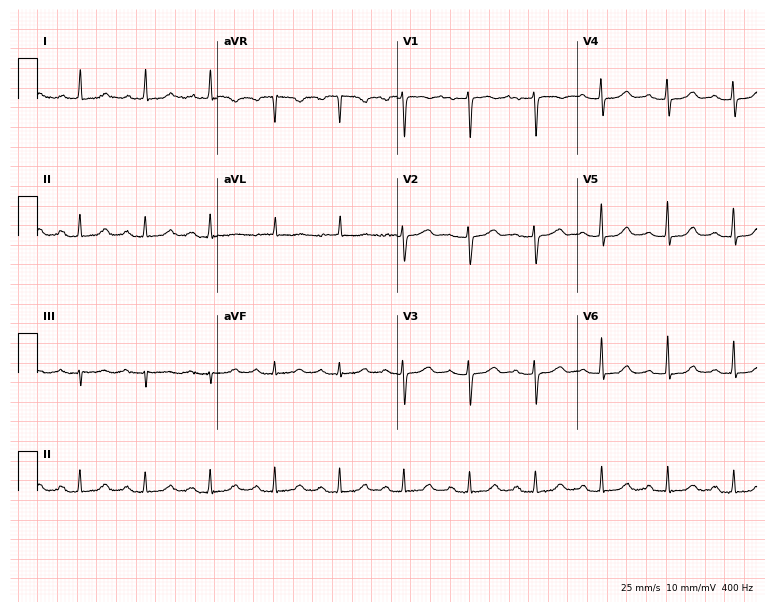
ECG — a 70-year-old woman. Labelled as a normal ECG.